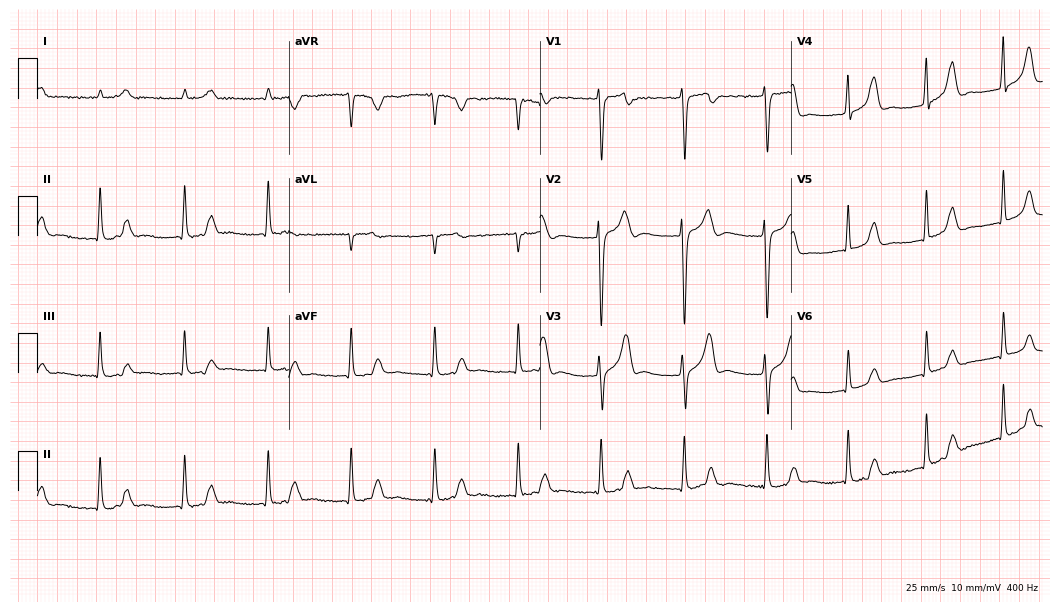
Standard 12-lead ECG recorded from an 18-year-old male (10.2-second recording at 400 Hz). None of these six findings is recorded: first-degree AV block, right bundle branch block, left bundle branch block, sinus bradycardia, atrial fibrillation, sinus tachycardia. Other findings, if any, are not listed.